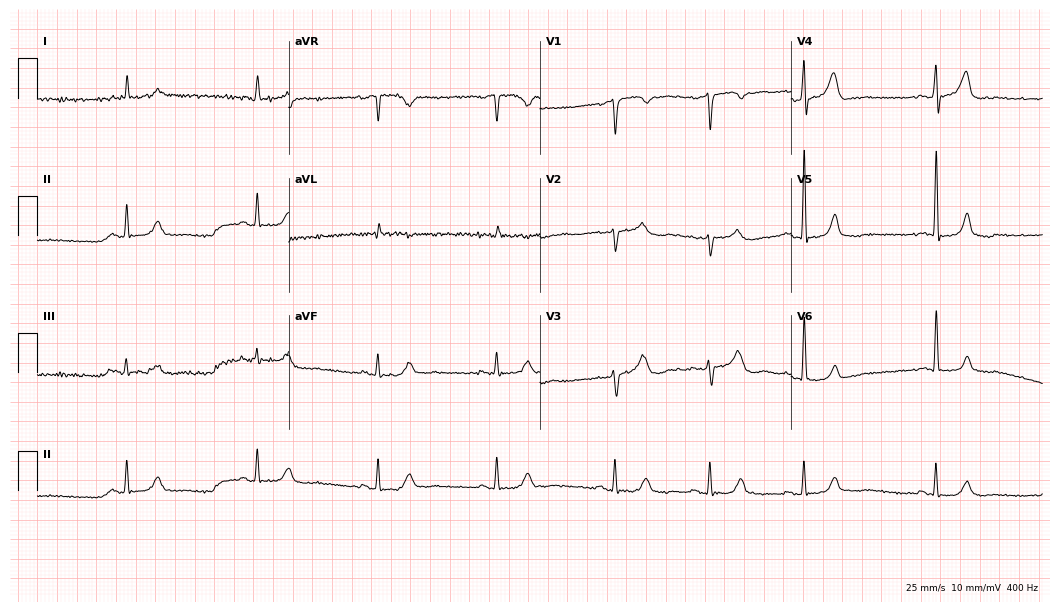
Resting 12-lead electrocardiogram (10.2-second recording at 400 Hz). Patient: a male, 80 years old. None of these six findings is recorded: first-degree AV block, right bundle branch block, left bundle branch block, sinus bradycardia, atrial fibrillation, sinus tachycardia.